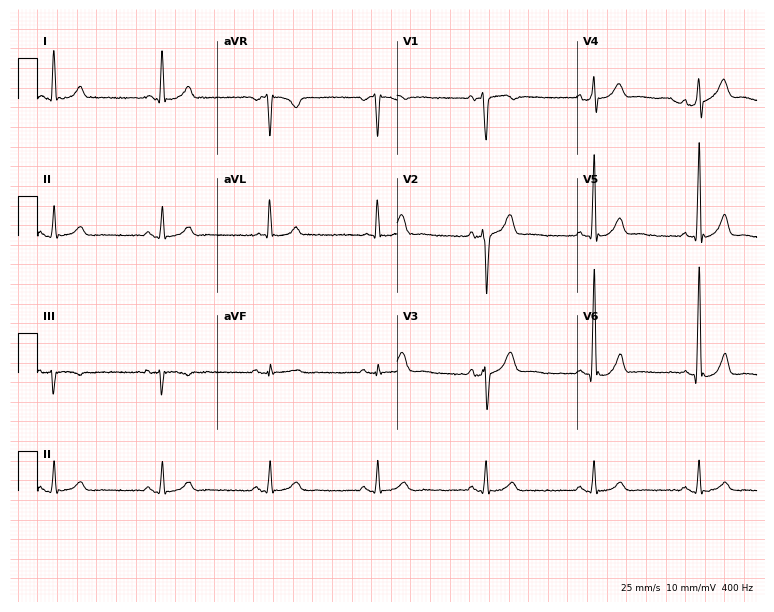
Standard 12-lead ECG recorded from a male, 64 years old. None of these six findings is recorded: first-degree AV block, right bundle branch block, left bundle branch block, sinus bradycardia, atrial fibrillation, sinus tachycardia.